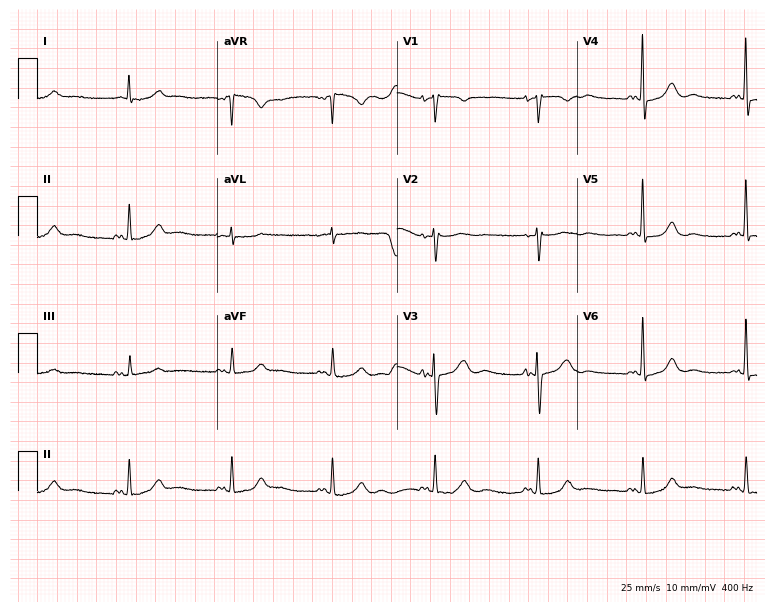
12-lead ECG (7.3-second recording at 400 Hz) from a woman, 83 years old. Labelled as a normal ECG.